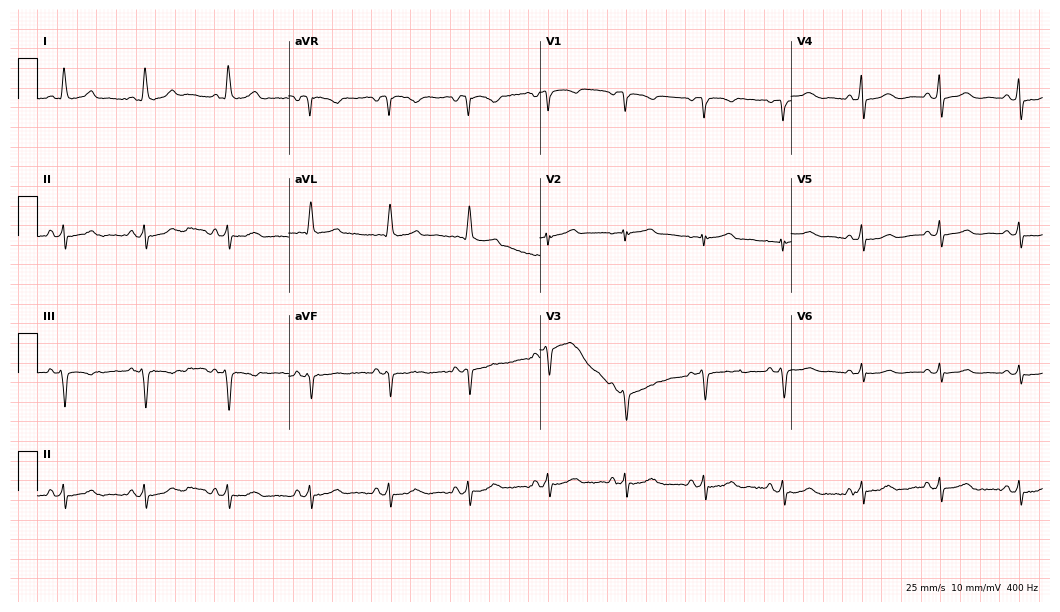
Electrocardiogram (10.2-second recording at 400 Hz), a 69-year-old female. Of the six screened findings (first-degree AV block, right bundle branch block (RBBB), left bundle branch block (LBBB), sinus bradycardia, atrial fibrillation (AF), sinus tachycardia), none is recorded.